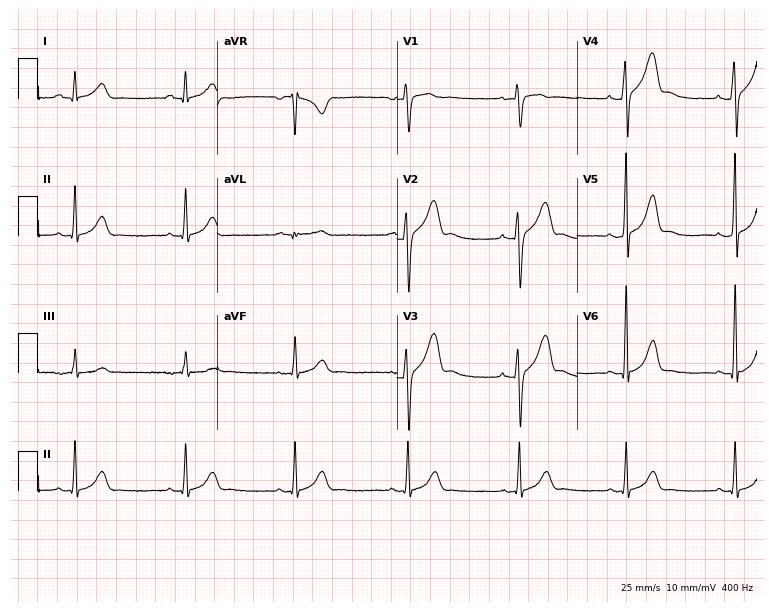
12-lead ECG from a 25-year-old male patient. Recorded interpretation: within normal limits.